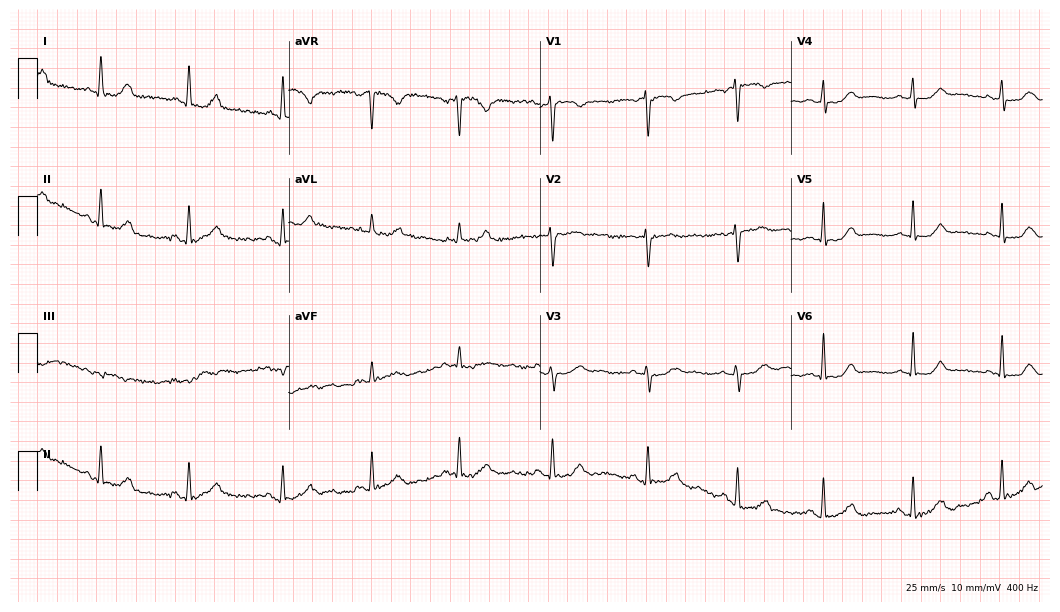
Electrocardiogram, a woman, 68 years old. Overall reading on record: normal ECG.